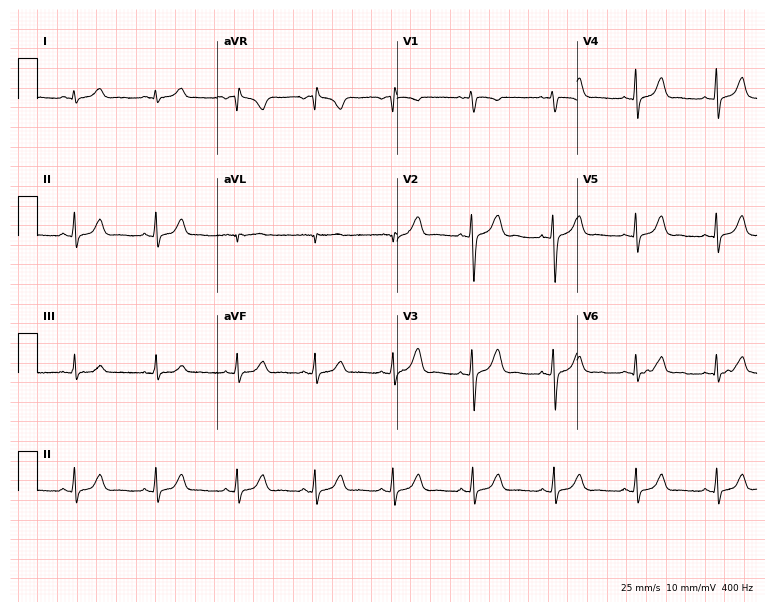
12-lead ECG from a 39-year-old female (7.3-second recording at 400 Hz). No first-degree AV block, right bundle branch block, left bundle branch block, sinus bradycardia, atrial fibrillation or sinus tachycardia recorded for this tracing.